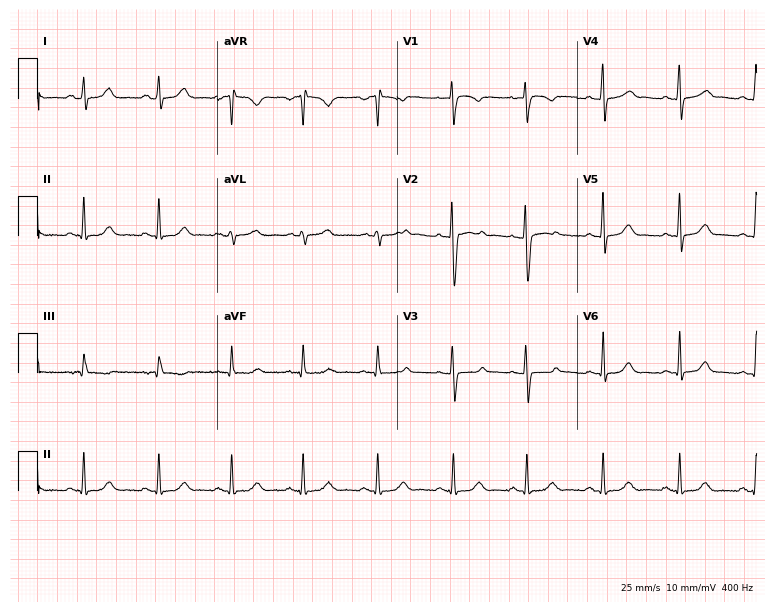
Resting 12-lead electrocardiogram. Patient: a 30-year-old female. Read as a normal ECG.